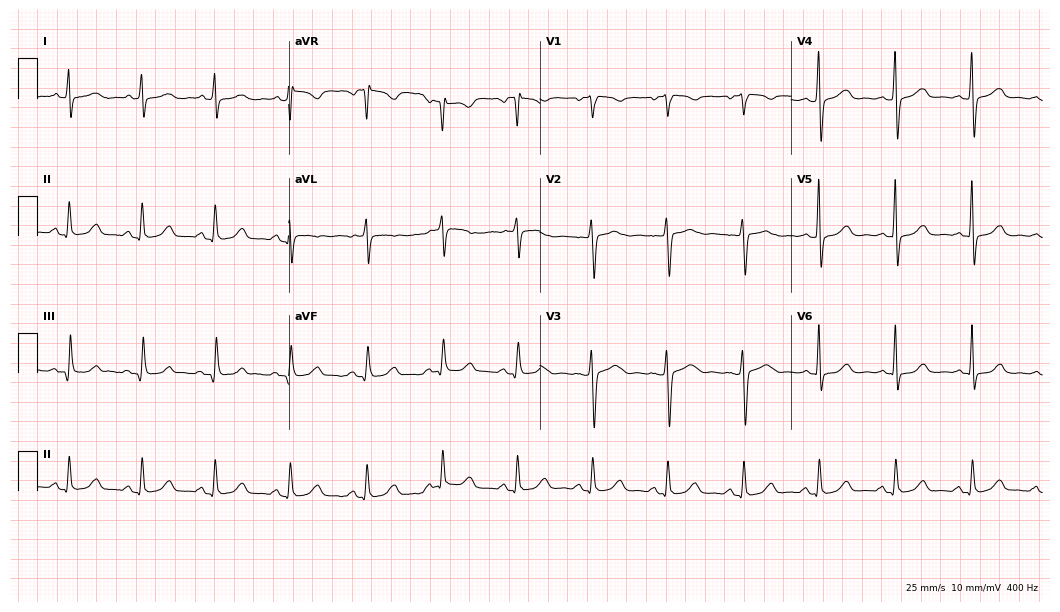
12-lead ECG (10.2-second recording at 400 Hz) from a woman, 52 years old. Labelled as a normal ECG.